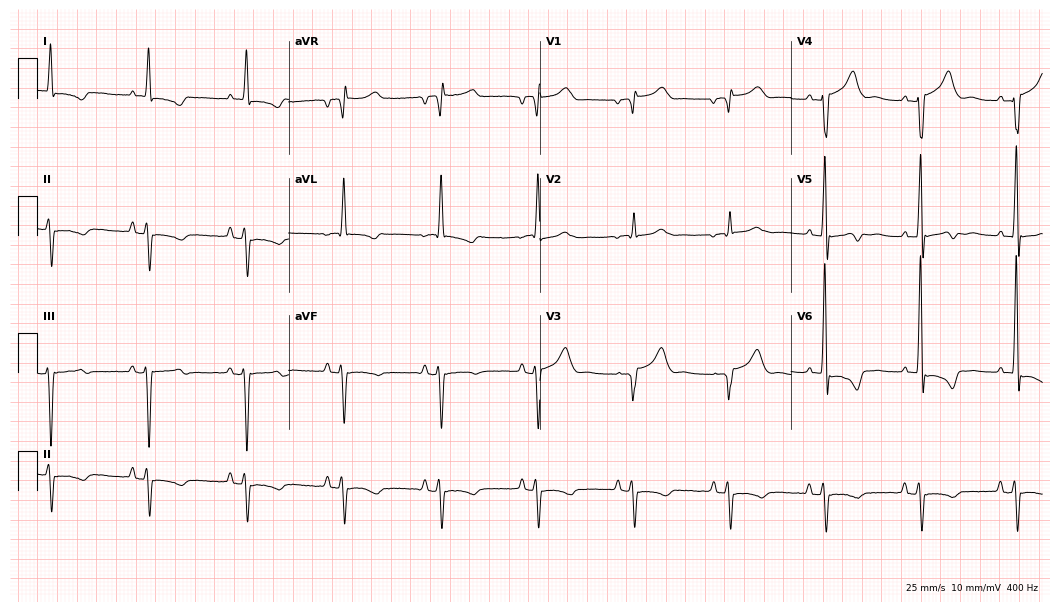
12-lead ECG from a male patient, 65 years old. No first-degree AV block, right bundle branch block (RBBB), left bundle branch block (LBBB), sinus bradycardia, atrial fibrillation (AF) or sinus tachycardia recorded for this tracing.